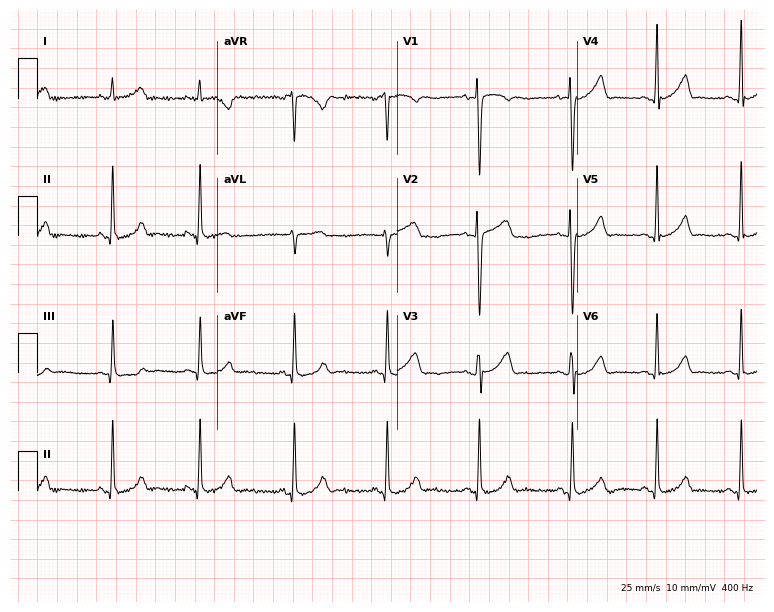
Resting 12-lead electrocardiogram. Patient: a female, 26 years old. Read as a normal ECG.